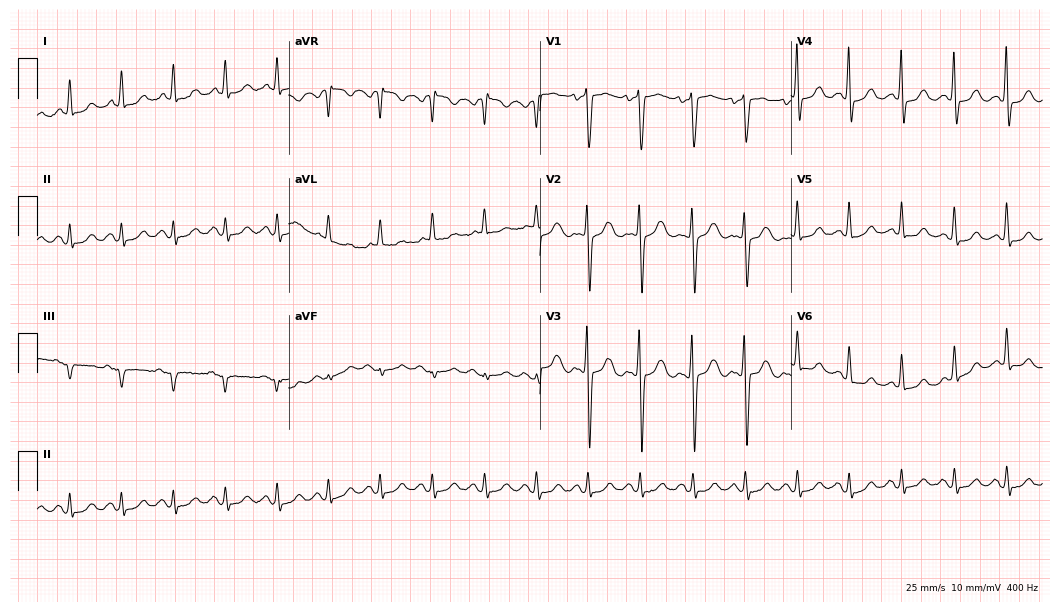
ECG — a female, 72 years old. Findings include sinus tachycardia (a sinus rate of 100 beats per minute or more).